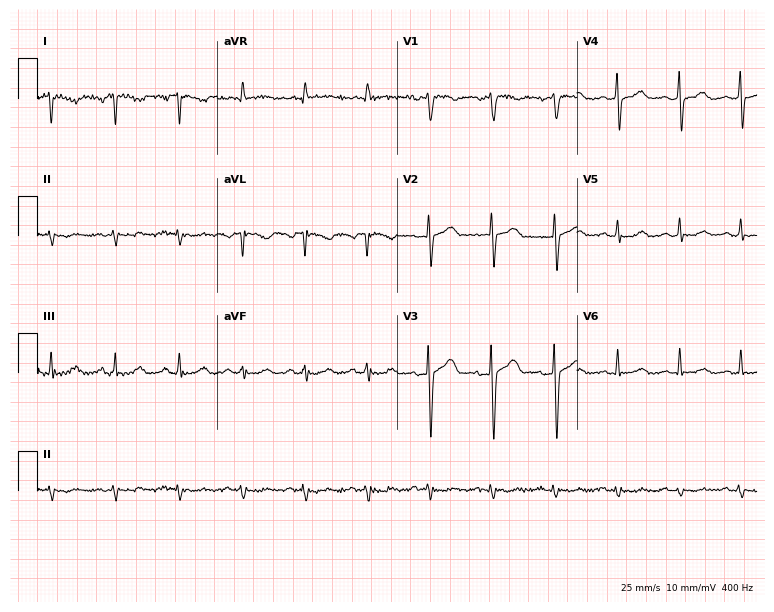
Resting 12-lead electrocardiogram (7.3-second recording at 400 Hz). Patient: a 58-year-old woman. None of these six findings is recorded: first-degree AV block, right bundle branch block (RBBB), left bundle branch block (LBBB), sinus bradycardia, atrial fibrillation (AF), sinus tachycardia.